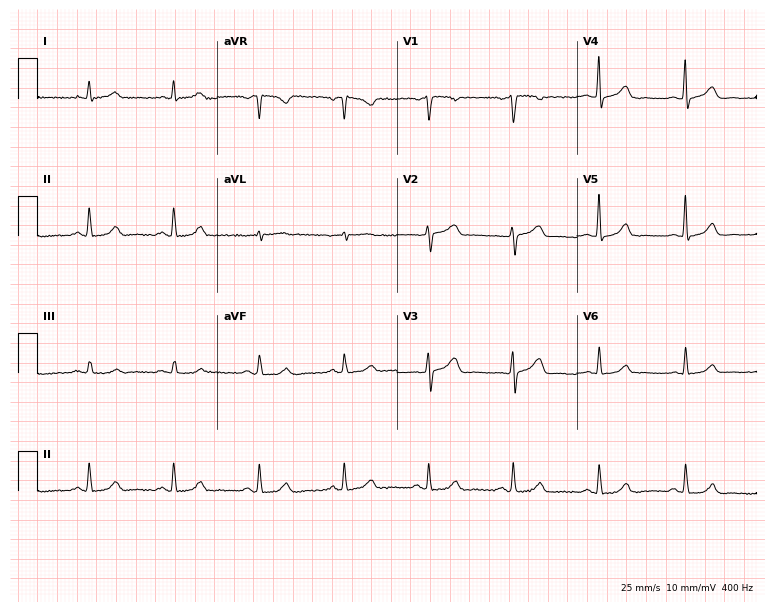
12-lead ECG from a 55-year-old female patient. Screened for six findings — first-degree AV block, right bundle branch block, left bundle branch block, sinus bradycardia, atrial fibrillation, sinus tachycardia — none is recorded.